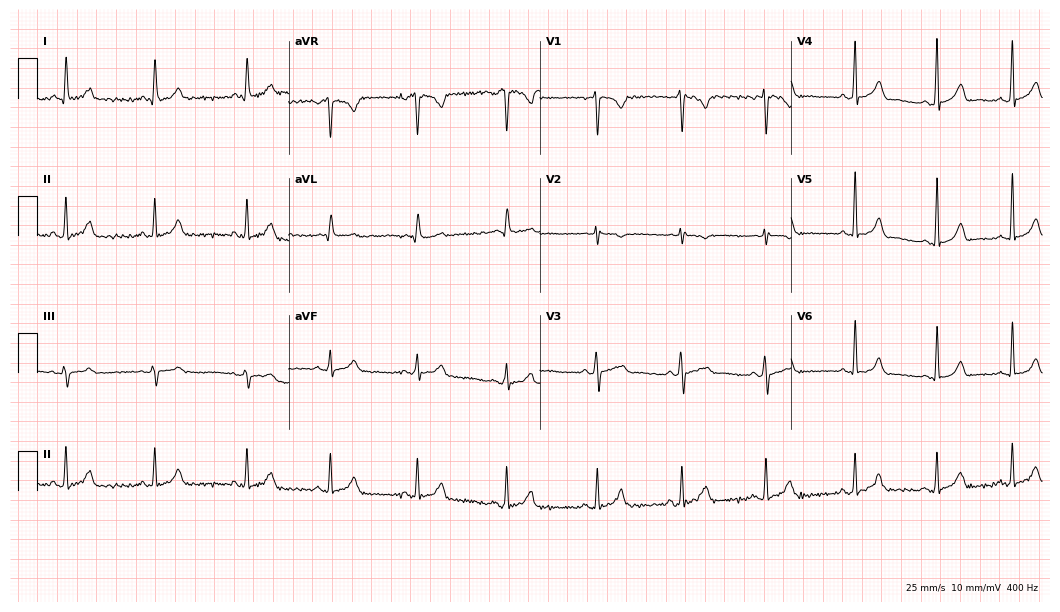
Electrocardiogram (10.2-second recording at 400 Hz), an 18-year-old female. Overall reading on record: normal ECG.